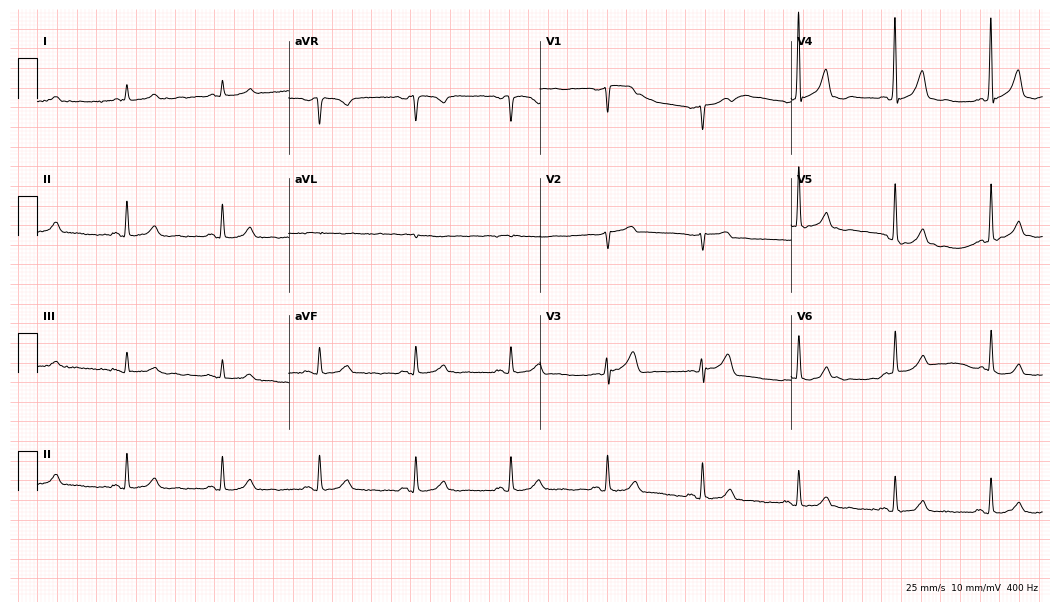
ECG (10.2-second recording at 400 Hz) — a man, 67 years old. Labelled as a normal ECG.